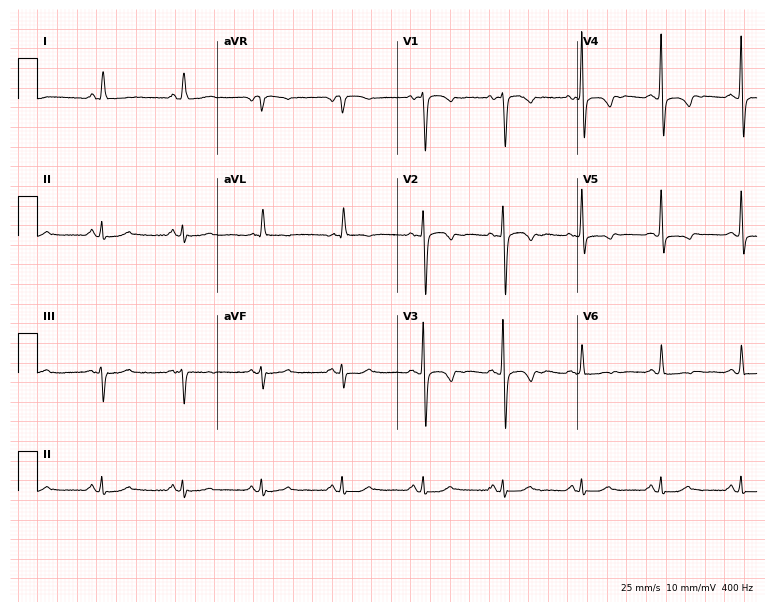
Electrocardiogram, a 74-year-old woman. Of the six screened findings (first-degree AV block, right bundle branch block, left bundle branch block, sinus bradycardia, atrial fibrillation, sinus tachycardia), none is recorded. Only these six findings were labelled.